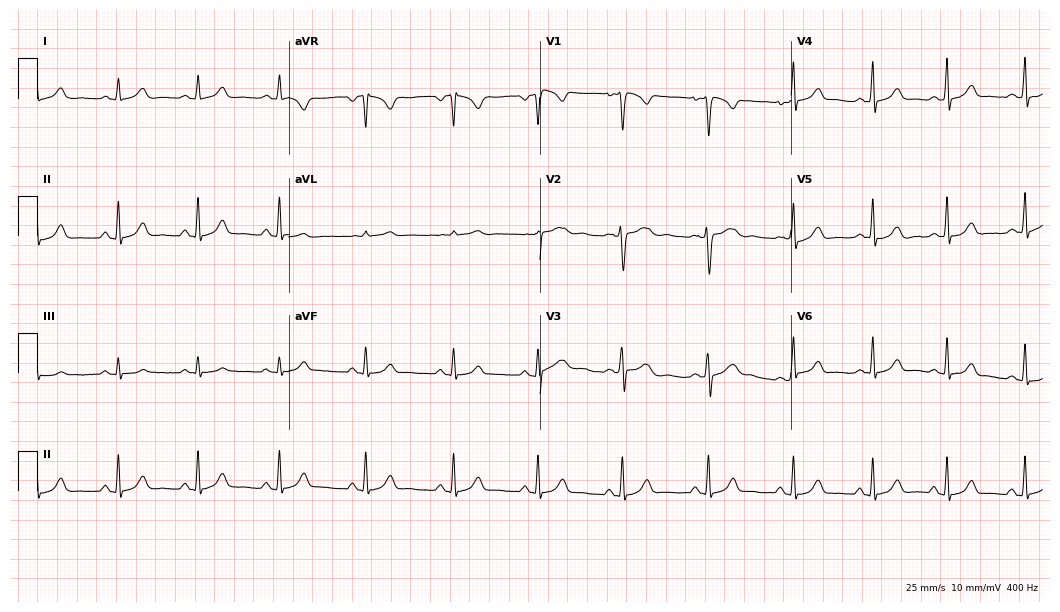
Resting 12-lead electrocardiogram. Patient: a female, 23 years old. None of these six findings is recorded: first-degree AV block, right bundle branch block, left bundle branch block, sinus bradycardia, atrial fibrillation, sinus tachycardia.